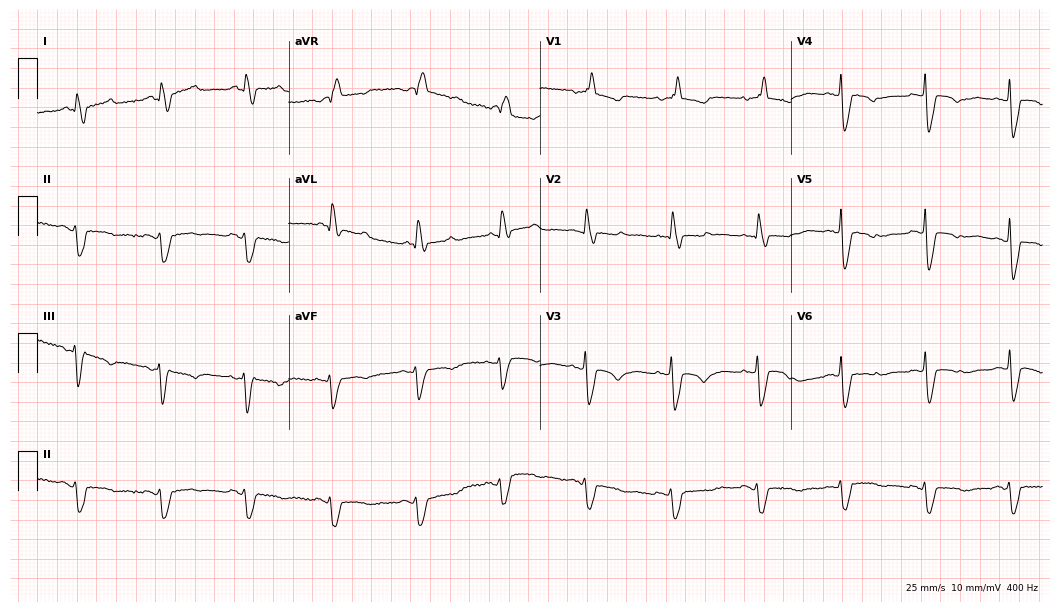
12-lead ECG from a 67-year-old woman. Screened for six findings — first-degree AV block, right bundle branch block (RBBB), left bundle branch block (LBBB), sinus bradycardia, atrial fibrillation (AF), sinus tachycardia — none is recorded.